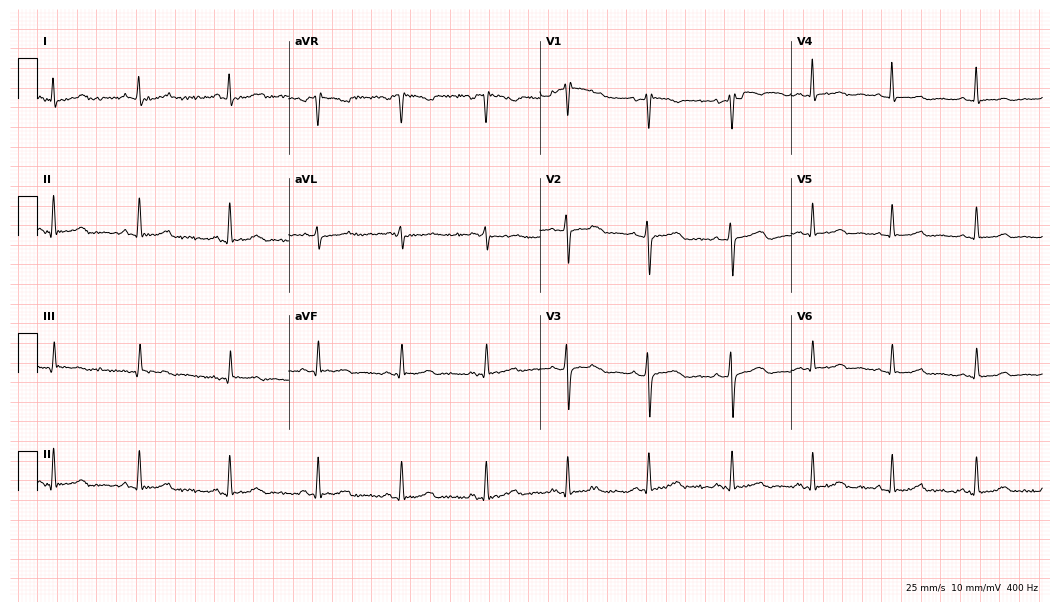
ECG (10.2-second recording at 400 Hz) — a woman, 33 years old. Labelled as a normal ECG.